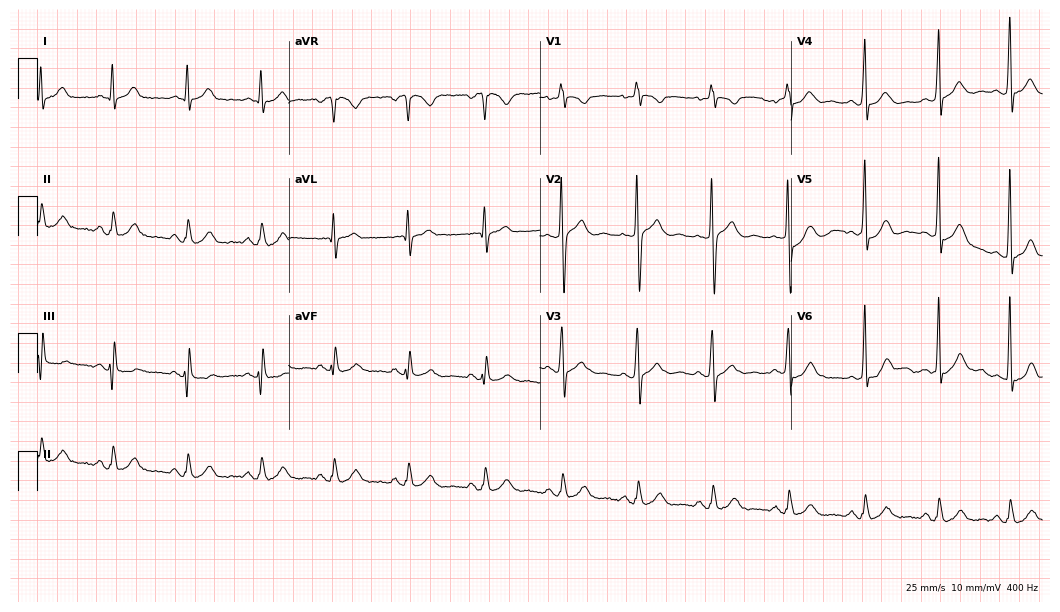
Standard 12-lead ECG recorded from a 54-year-old male (10.2-second recording at 400 Hz). Read as a normal ECG.